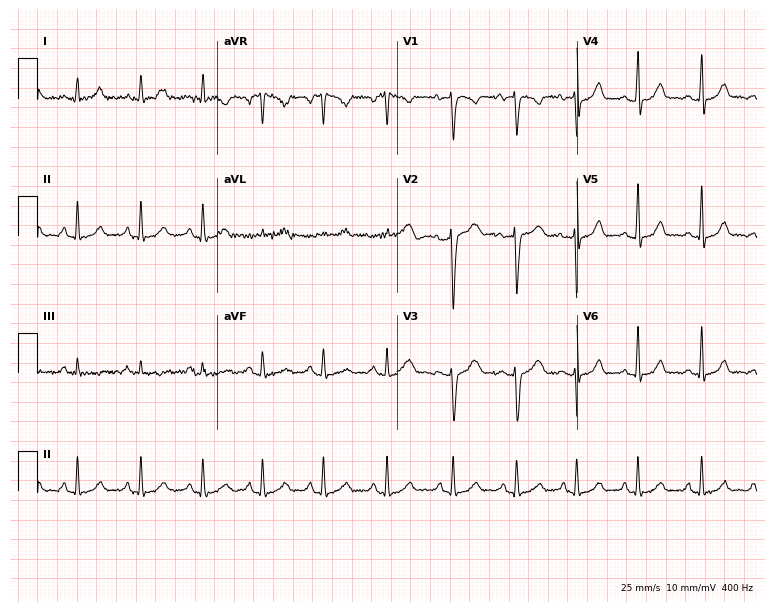
12-lead ECG from a female patient, 21 years old (7.3-second recording at 400 Hz). Recorded interpretation: within normal limits.